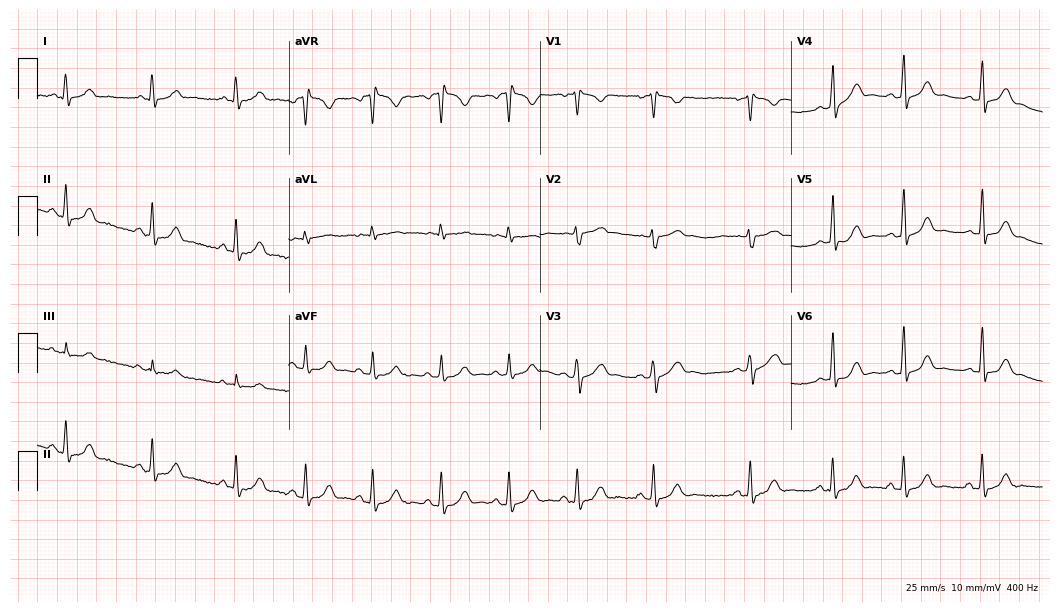
12-lead ECG from a female, 21 years old. Labelled as a normal ECG.